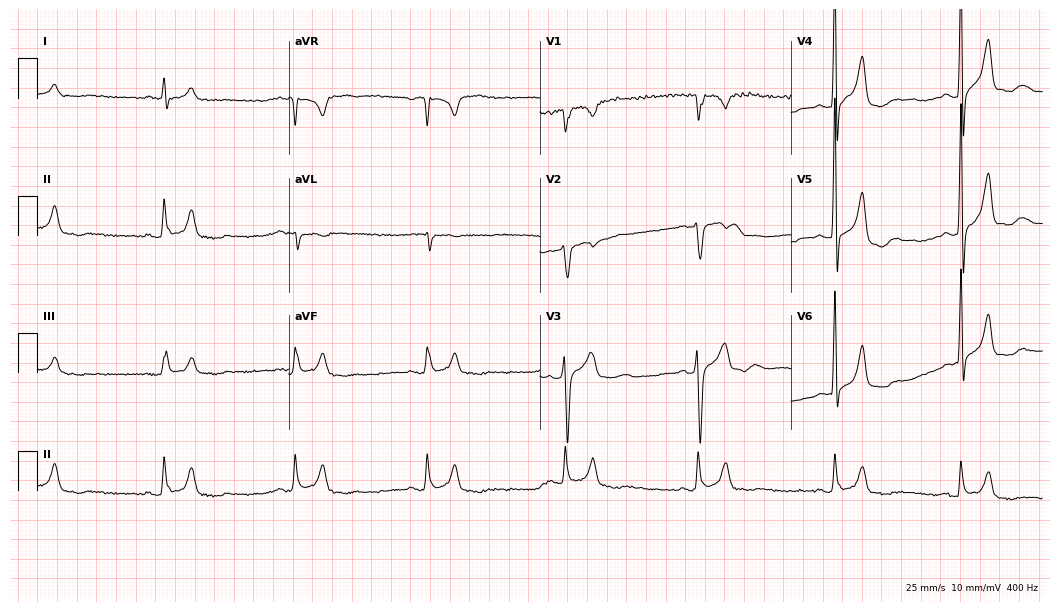
ECG (10.2-second recording at 400 Hz) — a 51-year-old male. Findings include sinus bradycardia (a sinus rate of 50 beats per minute or less).